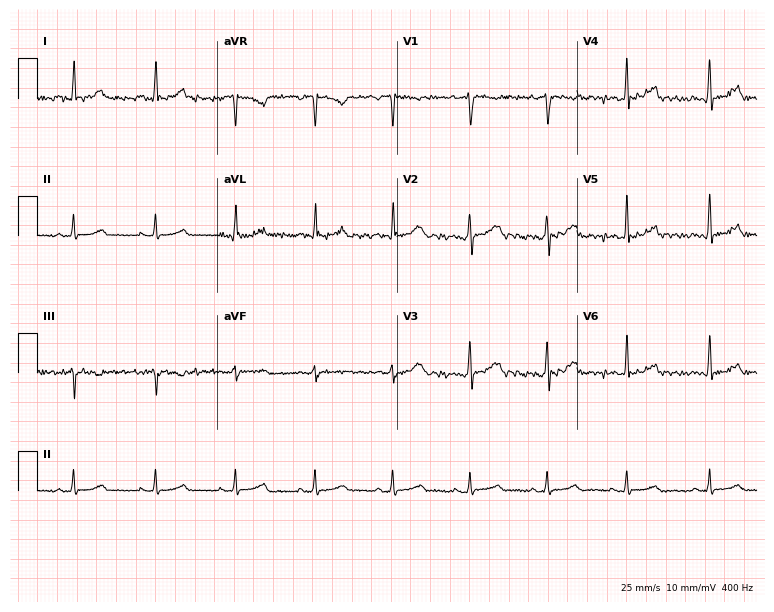
12-lead ECG from a woman, 44 years old. Screened for six findings — first-degree AV block, right bundle branch block (RBBB), left bundle branch block (LBBB), sinus bradycardia, atrial fibrillation (AF), sinus tachycardia — none is recorded. Only these six findings were labelled.